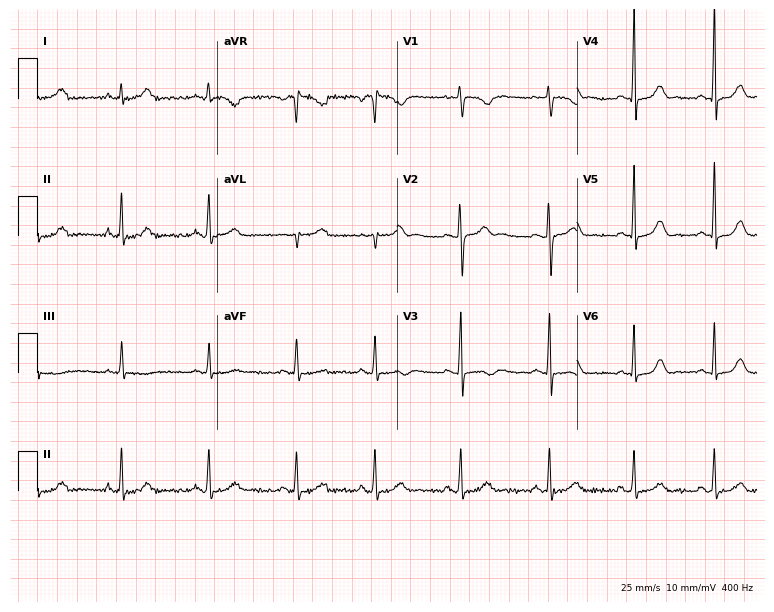
ECG — a female patient, 19 years old. Labelled as a normal ECG.